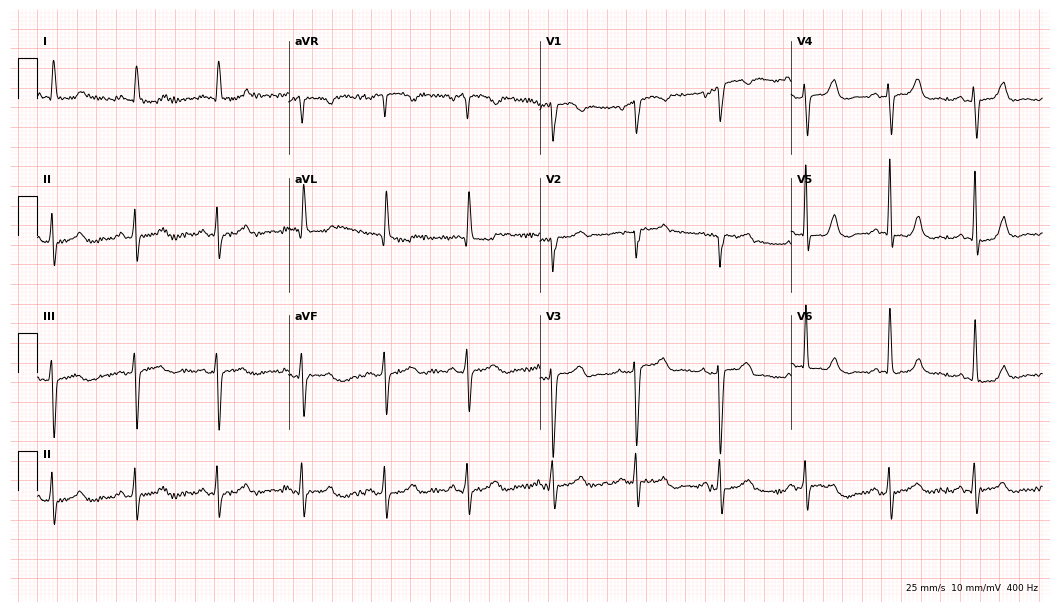
ECG (10.2-second recording at 400 Hz) — a 75-year-old woman. Screened for six findings — first-degree AV block, right bundle branch block, left bundle branch block, sinus bradycardia, atrial fibrillation, sinus tachycardia — none is recorded.